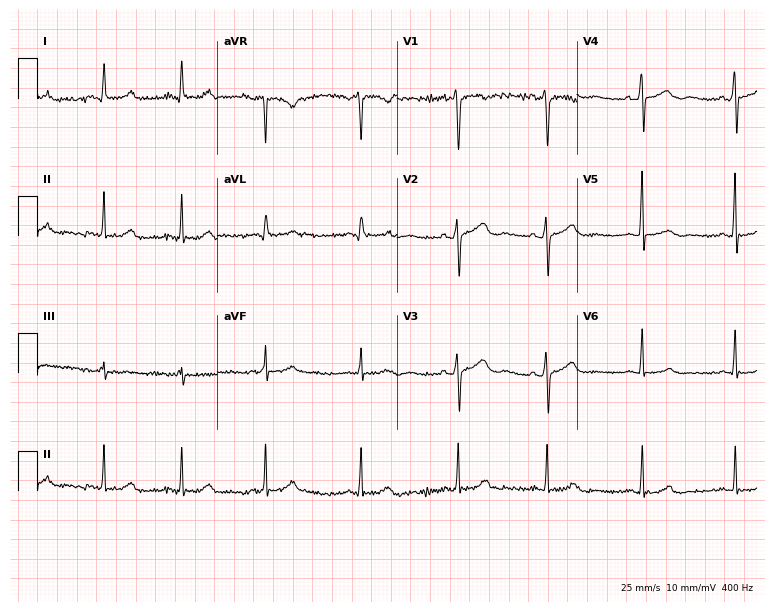
12-lead ECG from a 33-year-old female (7.3-second recording at 400 Hz). Recorded interpretation: within normal limits.